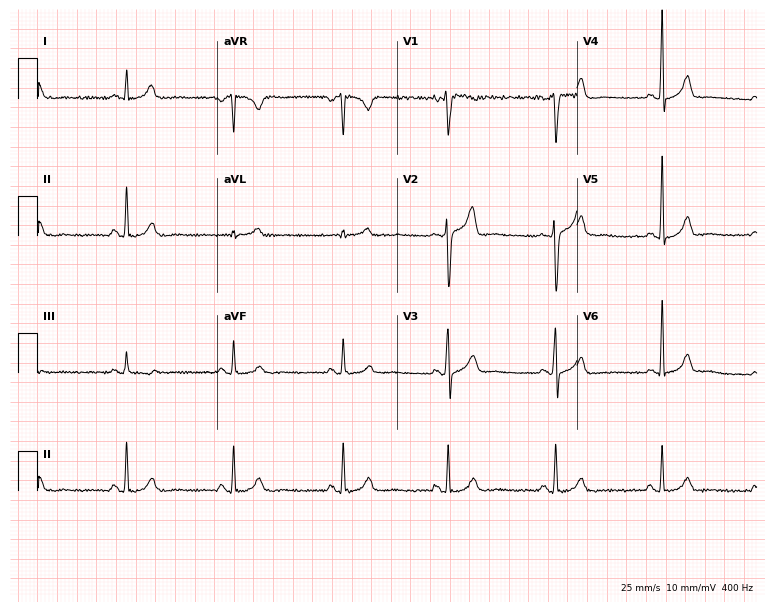
Standard 12-lead ECG recorded from a man, 34 years old. Read as a normal ECG.